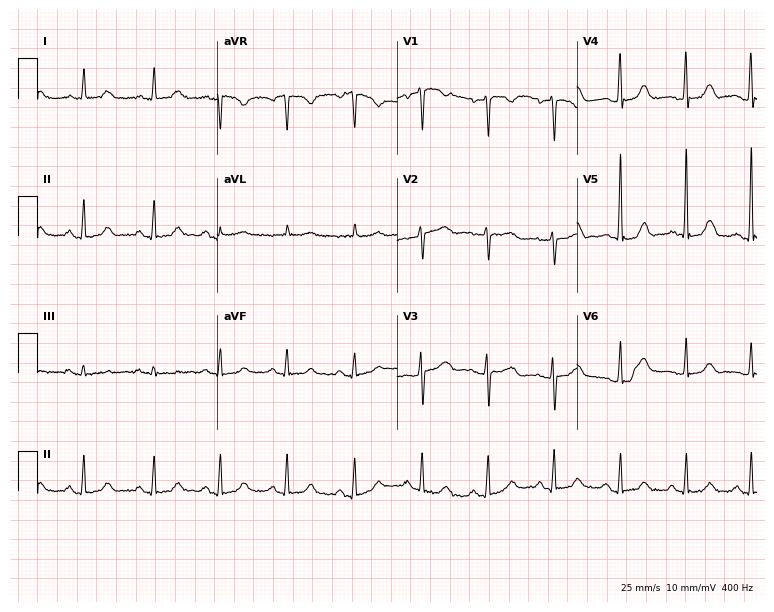
Electrocardiogram (7.3-second recording at 400 Hz), a 53-year-old woman. Overall reading on record: normal ECG.